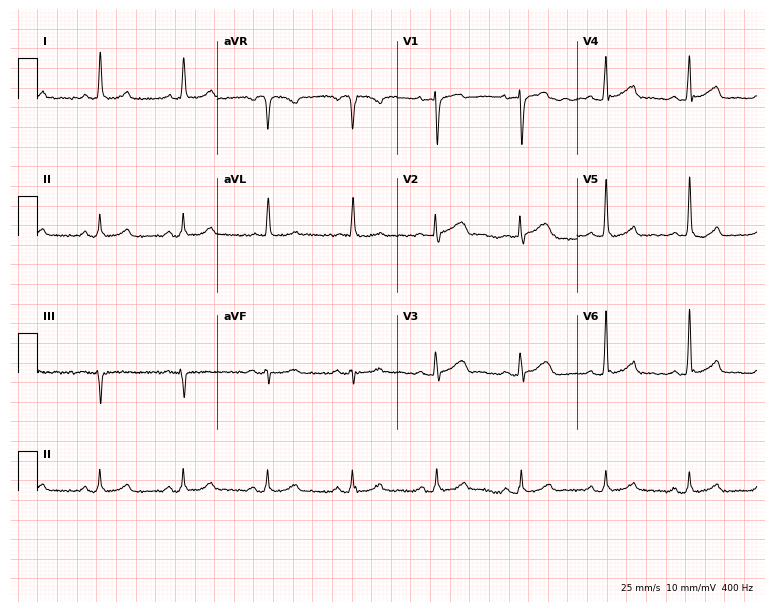
ECG (7.3-second recording at 400 Hz) — a 67-year-old woman. Labelled as a normal ECG.